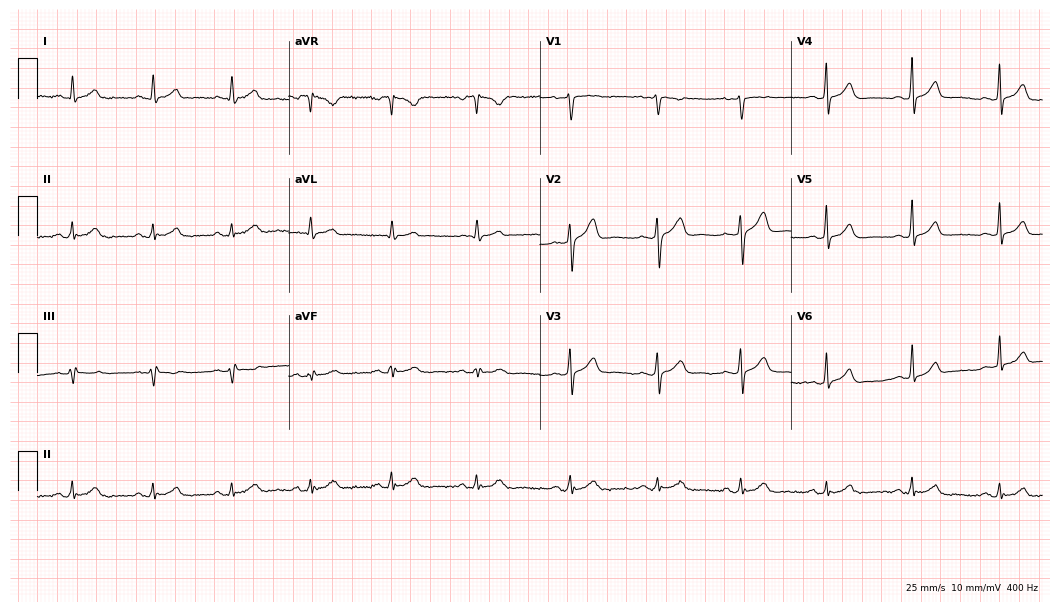
Electrocardiogram (10.2-second recording at 400 Hz), a female, 43 years old. Of the six screened findings (first-degree AV block, right bundle branch block (RBBB), left bundle branch block (LBBB), sinus bradycardia, atrial fibrillation (AF), sinus tachycardia), none is recorded. Findings outside these six are not listed.